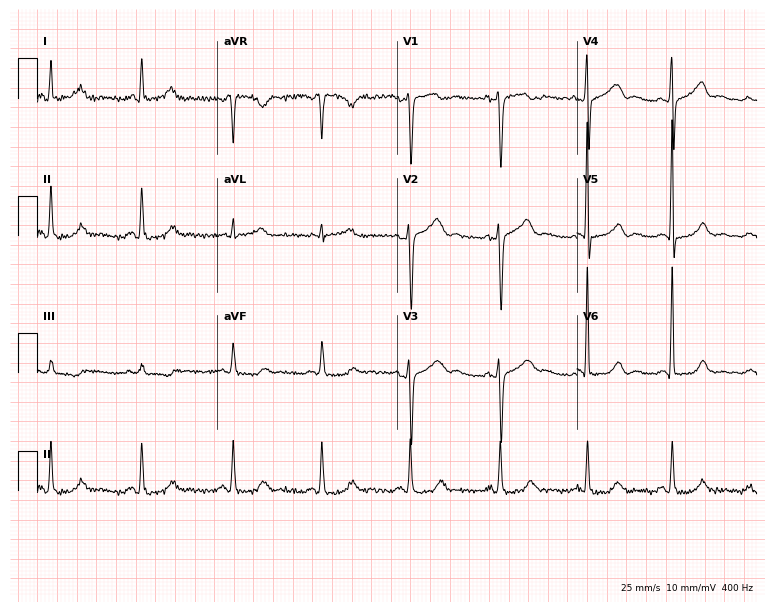
Electrocardiogram, a 47-year-old woman. Overall reading on record: normal ECG.